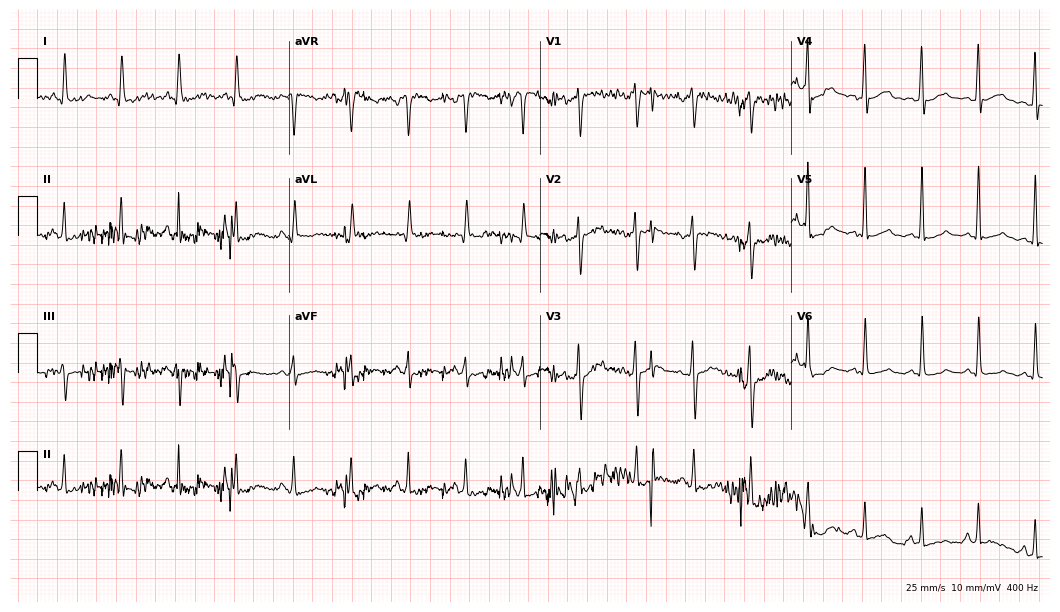
Electrocardiogram (10.2-second recording at 400 Hz), a woman, 46 years old. Of the six screened findings (first-degree AV block, right bundle branch block (RBBB), left bundle branch block (LBBB), sinus bradycardia, atrial fibrillation (AF), sinus tachycardia), none is recorded. Only these six findings were labelled.